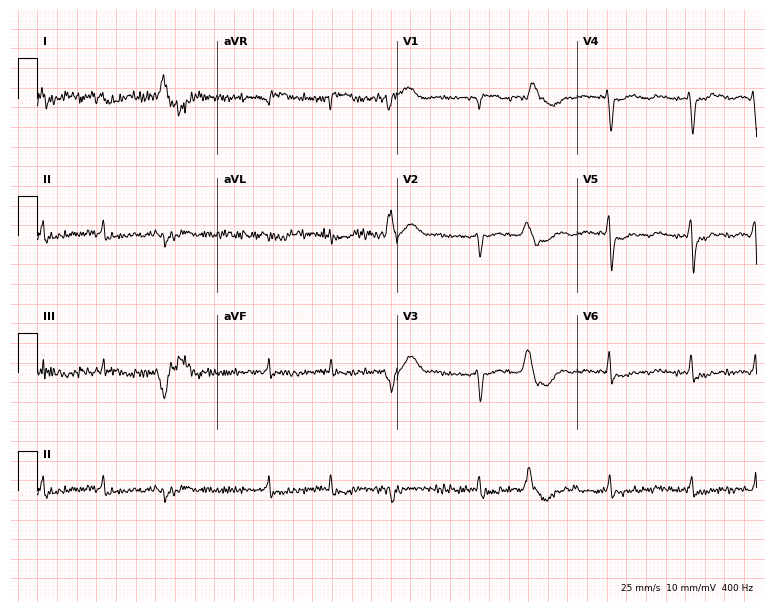
Electrocardiogram (7.3-second recording at 400 Hz), a 58-year-old female patient. Interpretation includes atrial fibrillation.